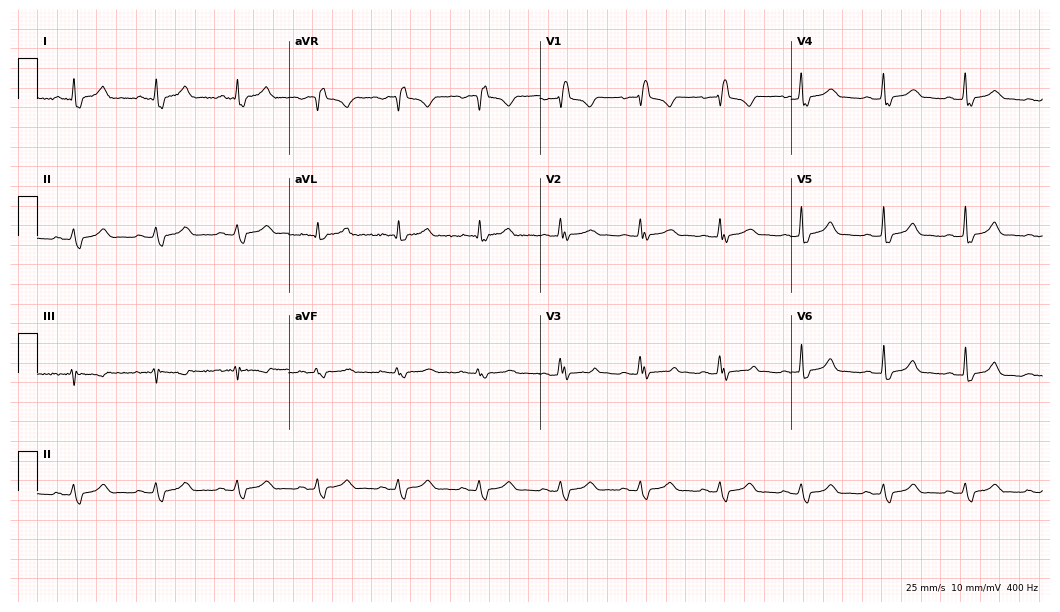
ECG — a female, 37 years old. Screened for six findings — first-degree AV block, right bundle branch block, left bundle branch block, sinus bradycardia, atrial fibrillation, sinus tachycardia — none is recorded.